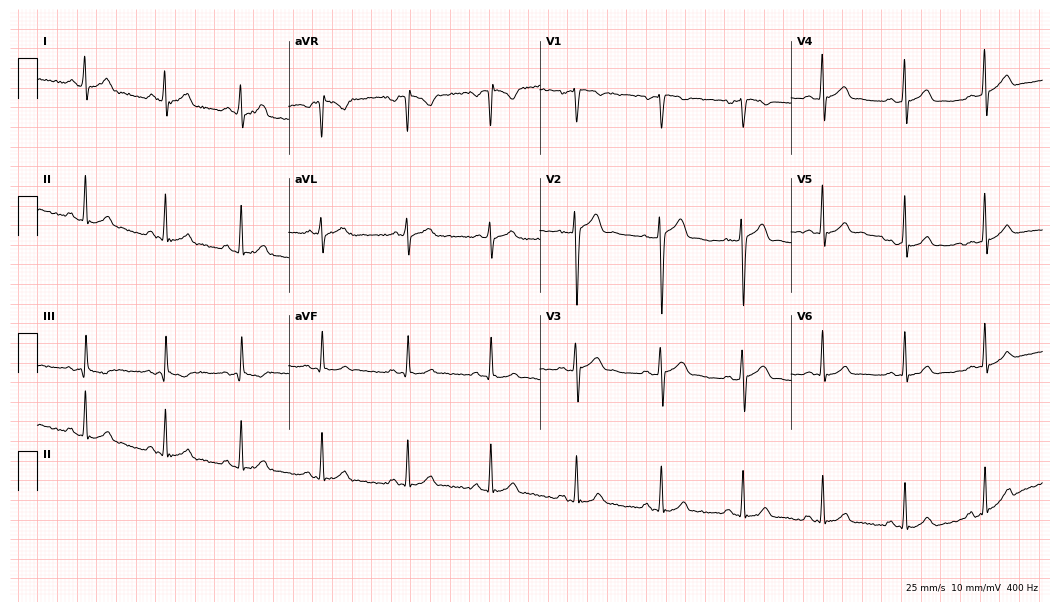
Electrocardiogram, a male patient, 21 years old. Overall reading on record: normal ECG.